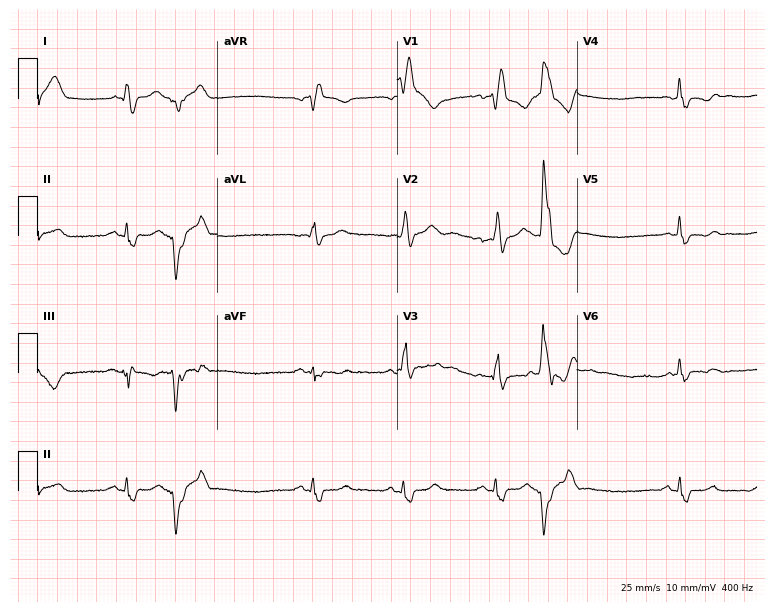
12-lead ECG from a 58-year-old male. No first-degree AV block, right bundle branch block, left bundle branch block, sinus bradycardia, atrial fibrillation or sinus tachycardia recorded for this tracing.